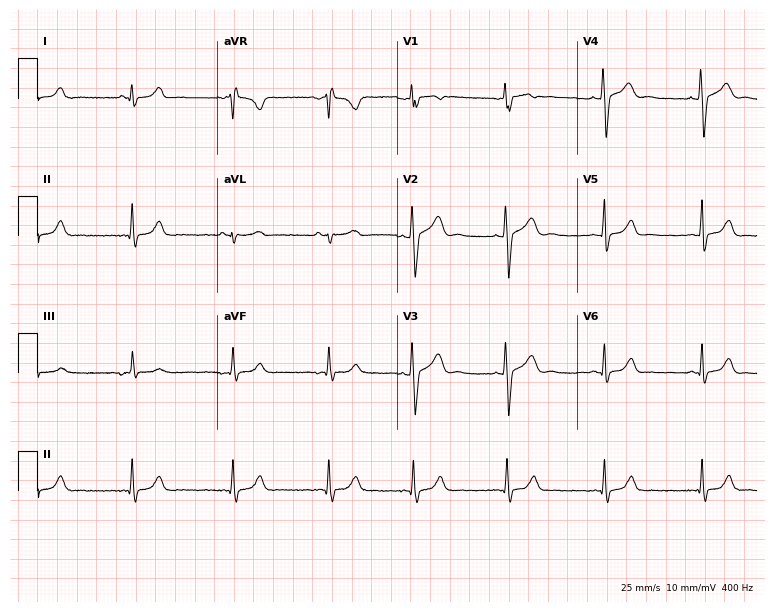
12-lead ECG from an 18-year-old female patient. No first-degree AV block, right bundle branch block (RBBB), left bundle branch block (LBBB), sinus bradycardia, atrial fibrillation (AF) or sinus tachycardia recorded for this tracing.